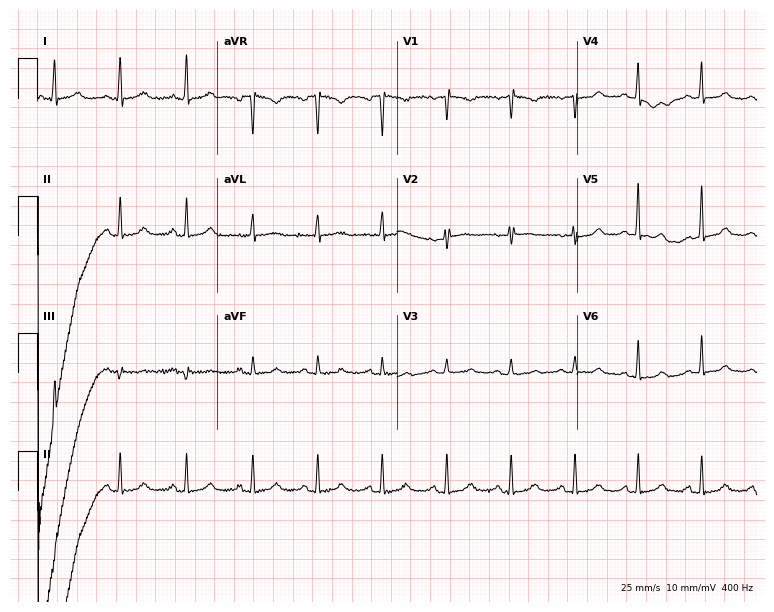
ECG (7.3-second recording at 400 Hz) — a female patient, 39 years old. Labelled as a normal ECG.